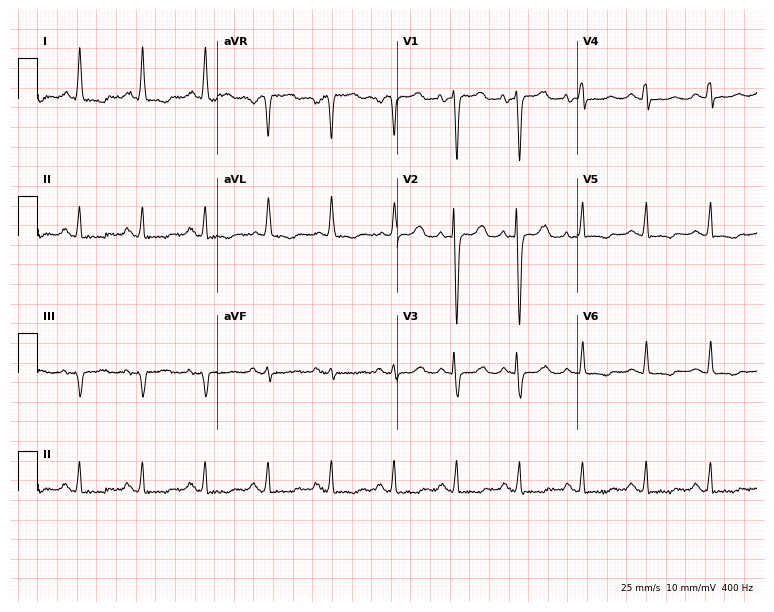
Electrocardiogram, a 44-year-old female. Overall reading on record: normal ECG.